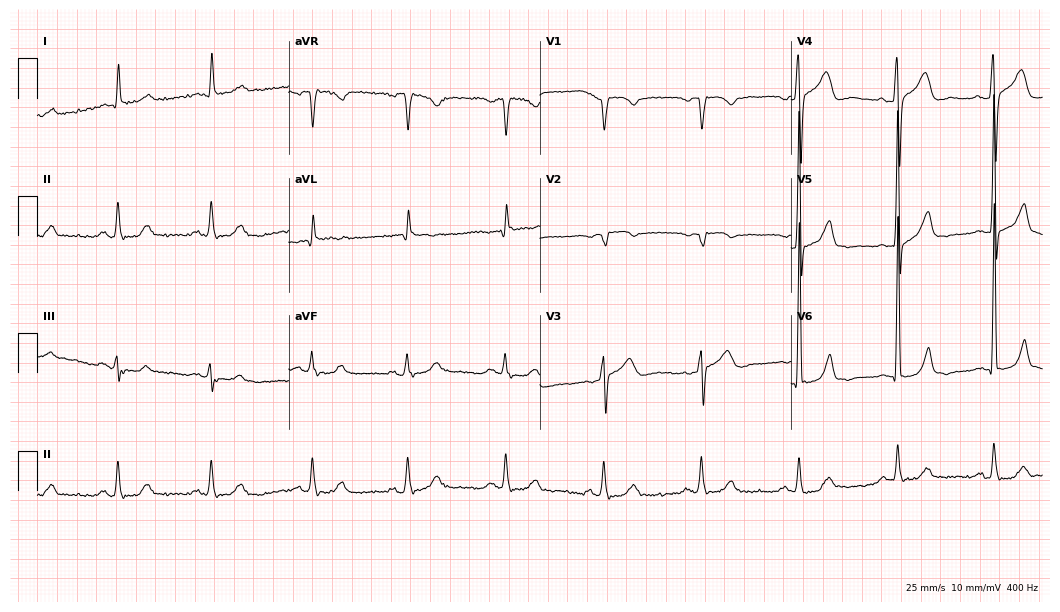
12-lead ECG from an 83-year-old man. Screened for six findings — first-degree AV block, right bundle branch block (RBBB), left bundle branch block (LBBB), sinus bradycardia, atrial fibrillation (AF), sinus tachycardia — none is recorded. Other findings, if any, are not listed.